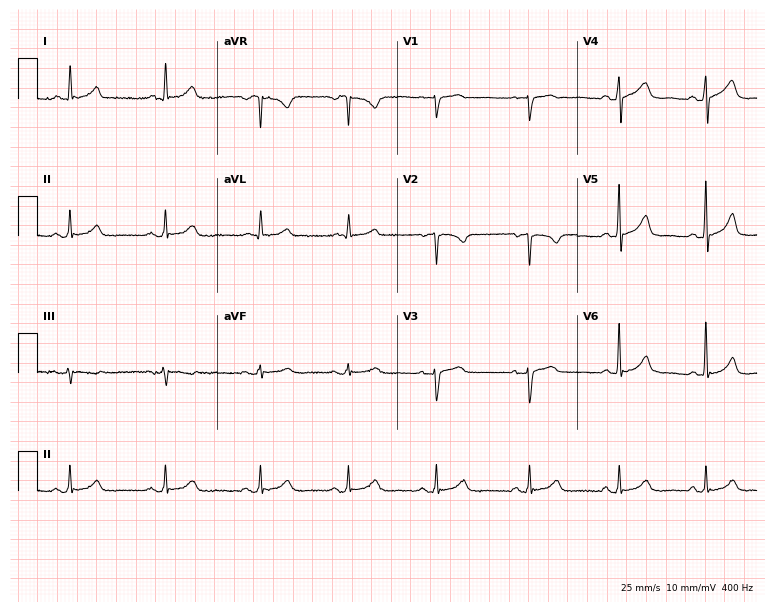
ECG — a female patient, 47 years old. Screened for six findings — first-degree AV block, right bundle branch block, left bundle branch block, sinus bradycardia, atrial fibrillation, sinus tachycardia — none is recorded.